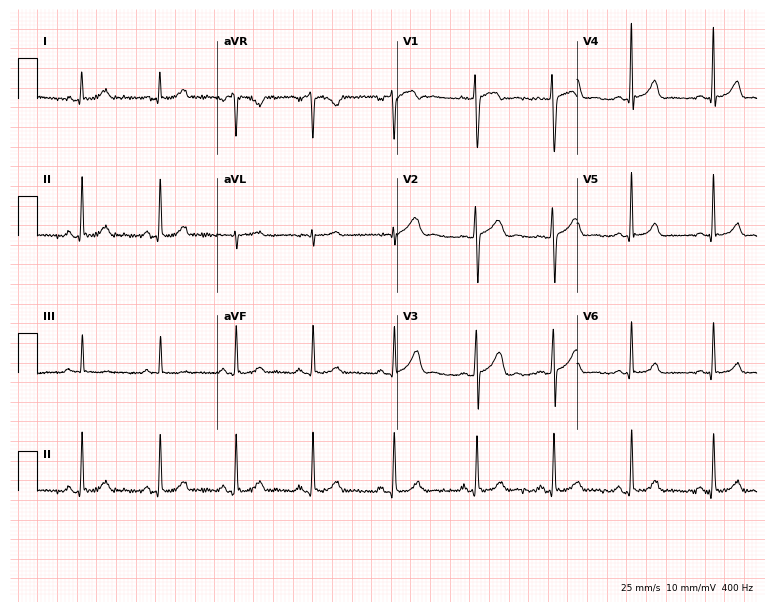
12-lead ECG from a 22-year-old female. Screened for six findings — first-degree AV block, right bundle branch block (RBBB), left bundle branch block (LBBB), sinus bradycardia, atrial fibrillation (AF), sinus tachycardia — none is recorded. Only these six findings were labelled.